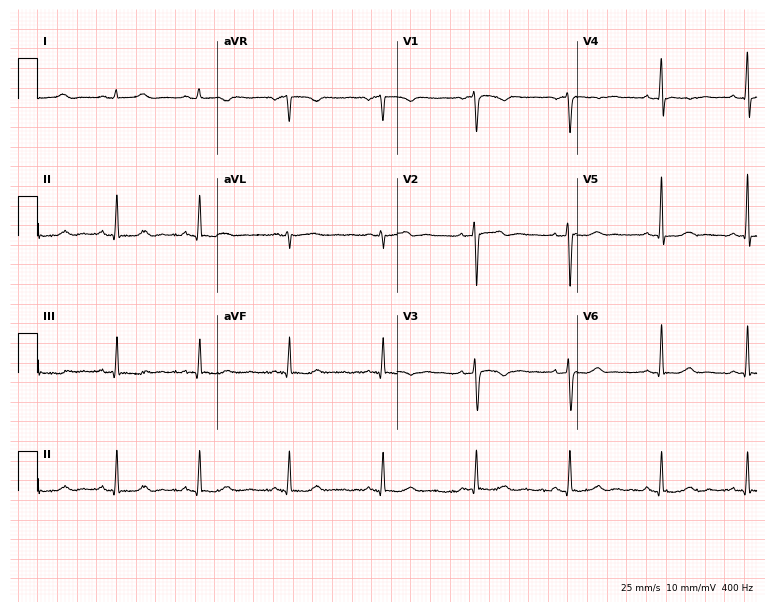
Electrocardiogram (7.3-second recording at 400 Hz), a 45-year-old female. Of the six screened findings (first-degree AV block, right bundle branch block (RBBB), left bundle branch block (LBBB), sinus bradycardia, atrial fibrillation (AF), sinus tachycardia), none is recorded.